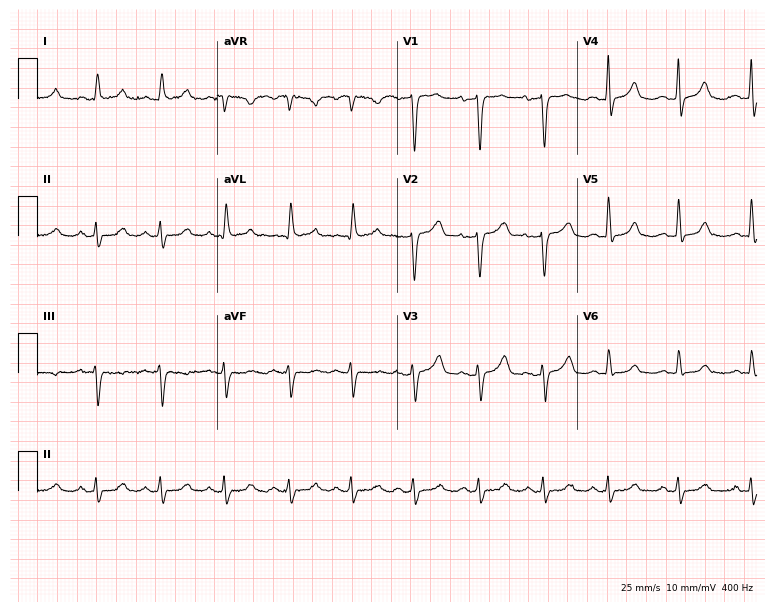
Resting 12-lead electrocardiogram (7.3-second recording at 400 Hz). Patient: a woman, 68 years old. None of these six findings is recorded: first-degree AV block, right bundle branch block (RBBB), left bundle branch block (LBBB), sinus bradycardia, atrial fibrillation (AF), sinus tachycardia. Other findings, if any, are not listed.